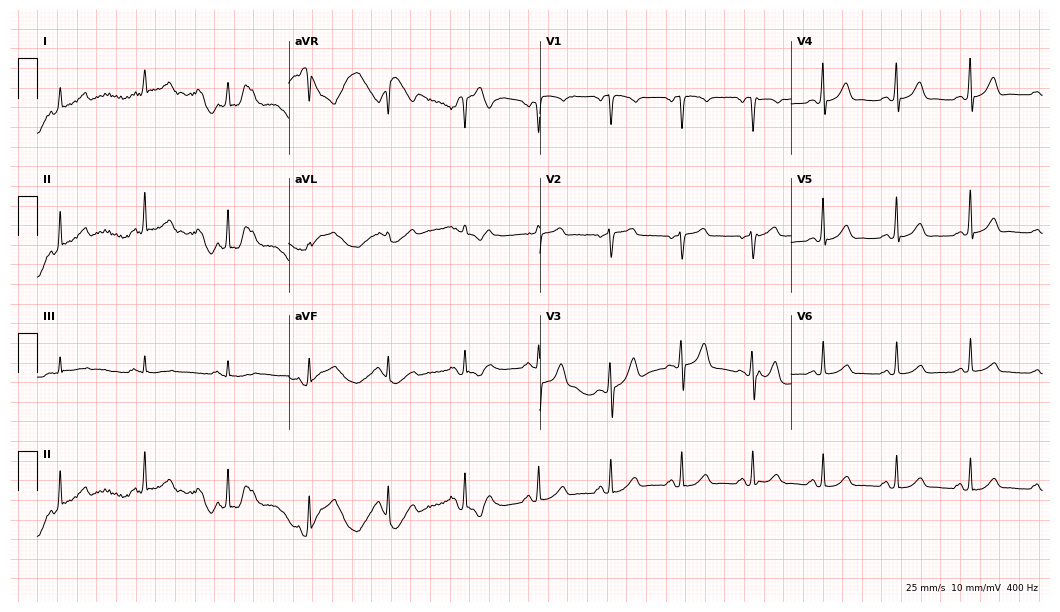
ECG — a man, 56 years old. Labelled as a normal ECG.